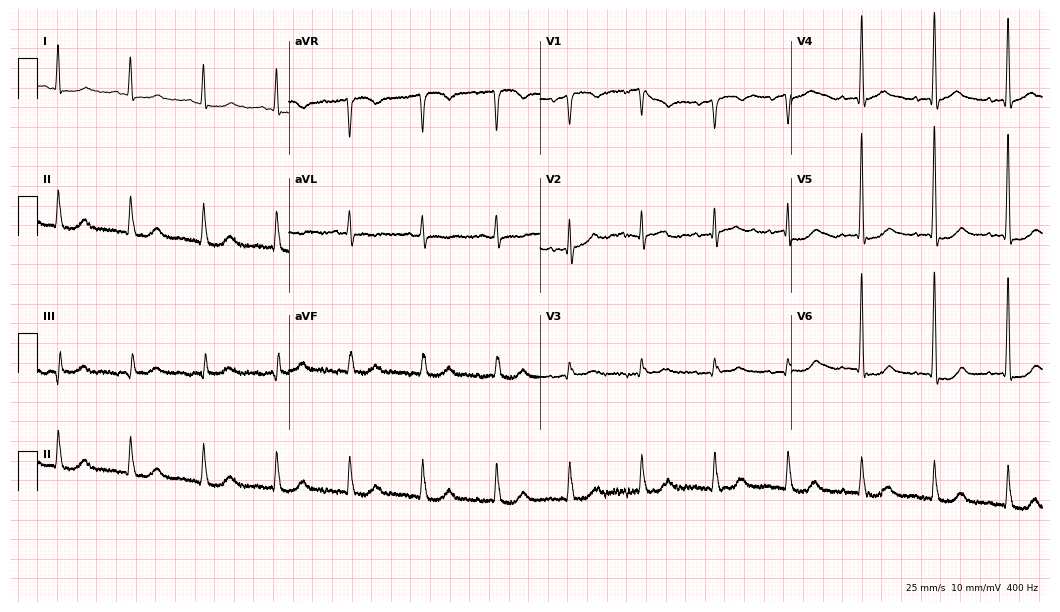
Resting 12-lead electrocardiogram. Patient: a man, 72 years old. None of these six findings is recorded: first-degree AV block, right bundle branch block, left bundle branch block, sinus bradycardia, atrial fibrillation, sinus tachycardia.